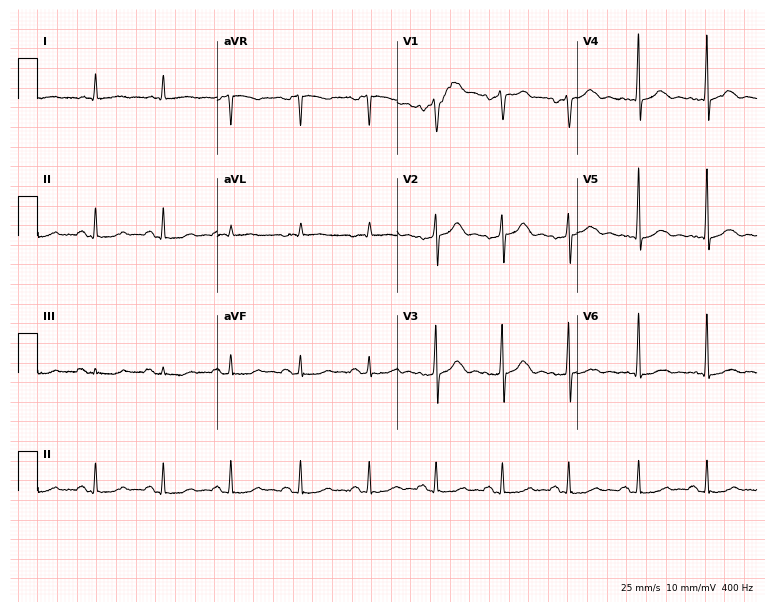
12-lead ECG from a 66-year-old male. Screened for six findings — first-degree AV block, right bundle branch block (RBBB), left bundle branch block (LBBB), sinus bradycardia, atrial fibrillation (AF), sinus tachycardia — none is recorded. Findings outside these six are not listed.